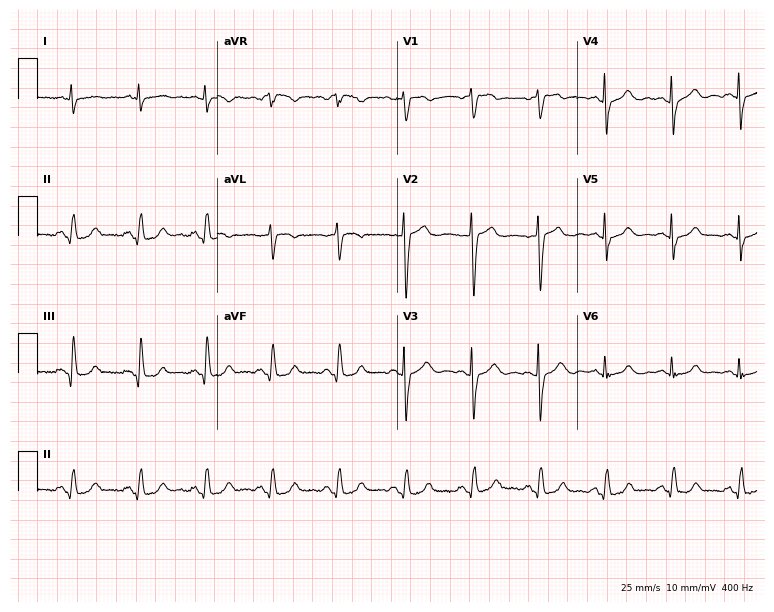
12-lead ECG from a 74-year-old female patient. No first-degree AV block, right bundle branch block, left bundle branch block, sinus bradycardia, atrial fibrillation or sinus tachycardia recorded for this tracing. Findings outside these six are not listed.